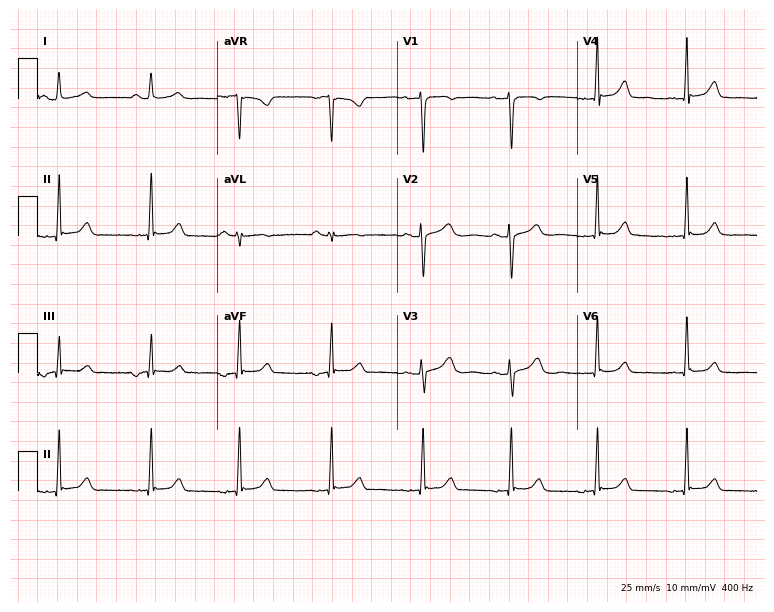
Electrocardiogram (7.3-second recording at 400 Hz), a 49-year-old female patient. Of the six screened findings (first-degree AV block, right bundle branch block (RBBB), left bundle branch block (LBBB), sinus bradycardia, atrial fibrillation (AF), sinus tachycardia), none is recorded.